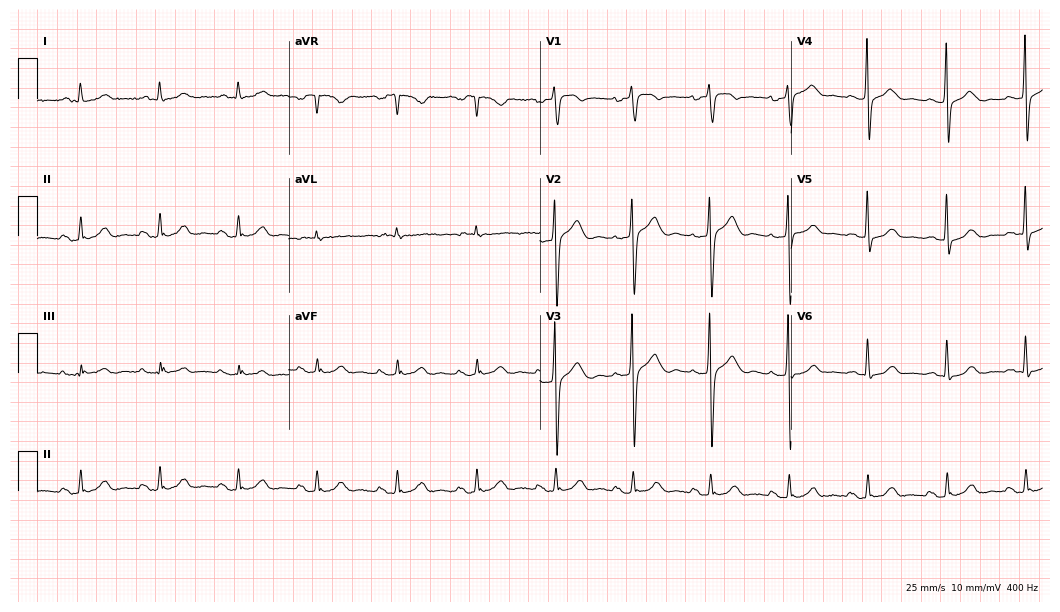
Resting 12-lead electrocardiogram. Patient: a male, 74 years old. Read as a normal ECG.